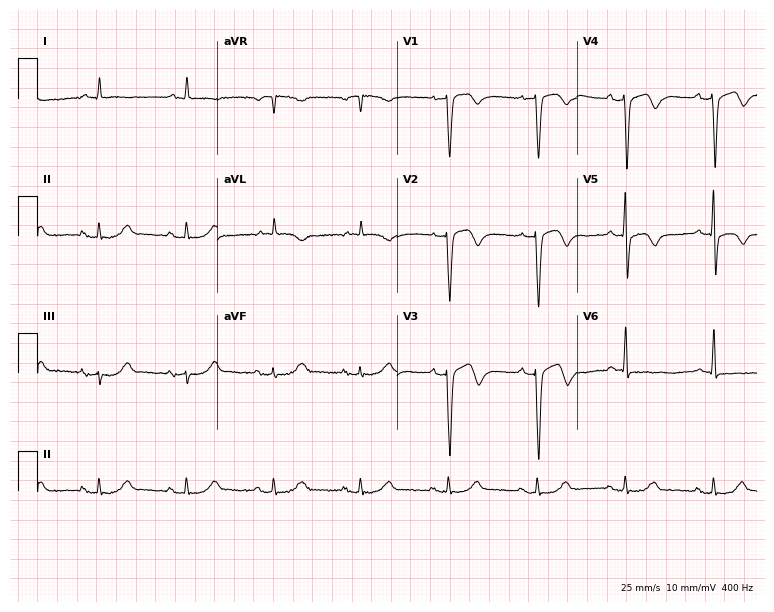
12-lead ECG from an 81-year-old male. Labelled as a normal ECG.